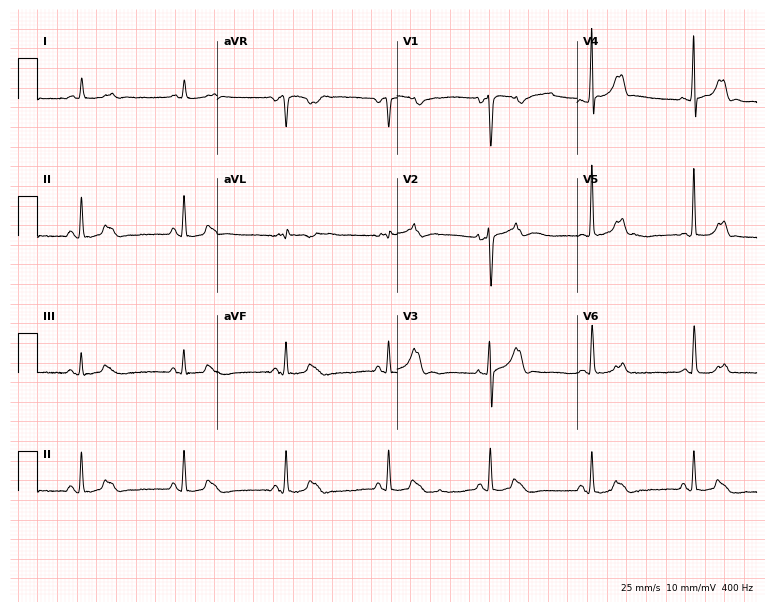
Standard 12-lead ECG recorded from a male, 69 years old (7.3-second recording at 400 Hz). None of these six findings is recorded: first-degree AV block, right bundle branch block, left bundle branch block, sinus bradycardia, atrial fibrillation, sinus tachycardia. Only these six findings were labelled.